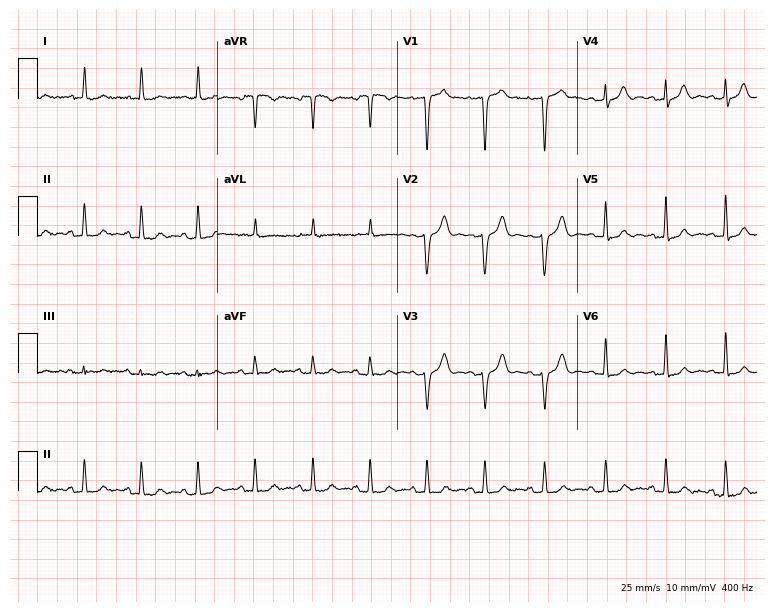
12-lead ECG from a woman, 74 years old (7.3-second recording at 400 Hz). No first-degree AV block, right bundle branch block, left bundle branch block, sinus bradycardia, atrial fibrillation or sinus tachycardia recorded for this tracing.